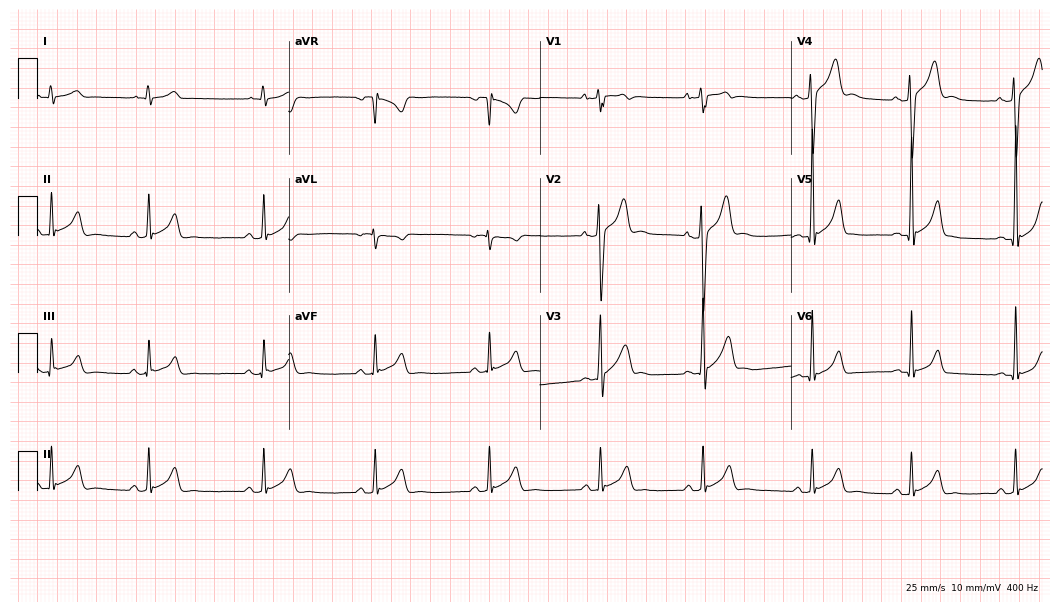
Resting 12-lead electrocardiogram (10.2-second recording at 400 Hz). Patient: a 22-year-old male. Read as a normal ECG.